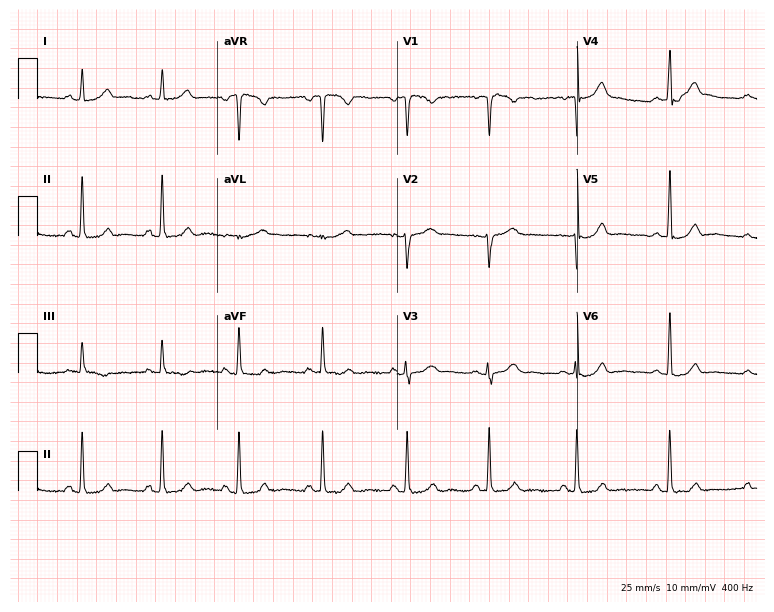
Standard 12-lead ECG recorded from a 28-year-old female patient (7.3-second recording at 400 Hz). None of these six findings is recorded: first-degree AV block, right bundle branch block (RBBB), left bundle branch block (LBBB), sinus bradycardia, atrial fibrillation (AF), sinus tachycardia. Findings outside these six are not listed.